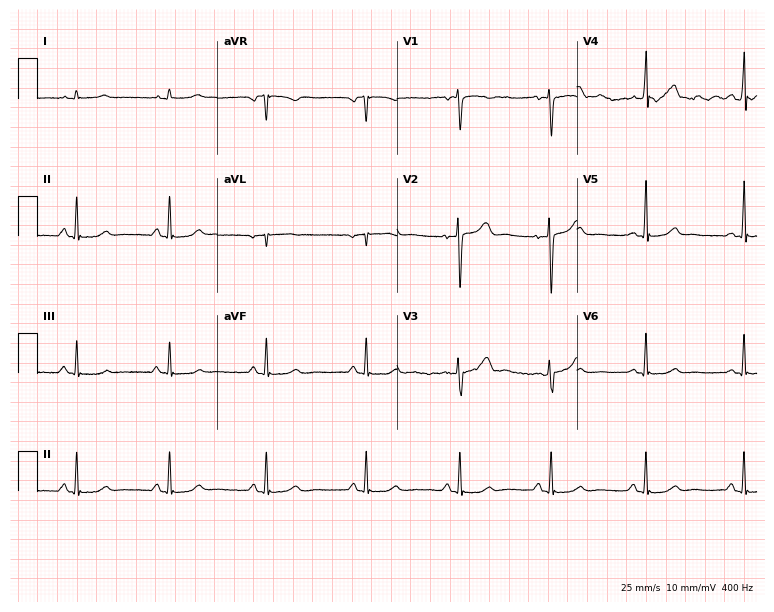
Resting 12-lead electrocardiogram. Patient: a 46-year-old female. Read as a normal ECG.